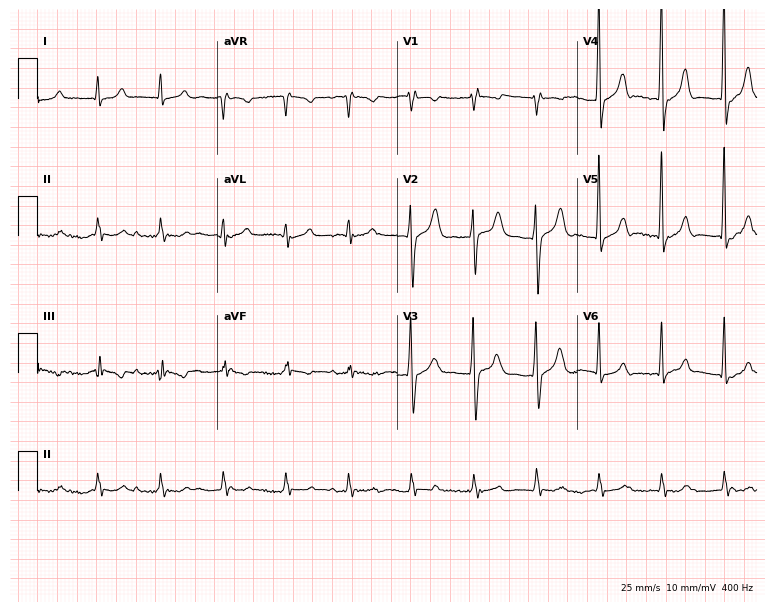
Standard 12-lead ECG recorded from a man, 36 years old. None of these six findings is recorded: first-degree AV block, right bundle branch block, left bundle branch block, sinus bradycardia, atrial fibrillation, sinus tachycardia. Findings outside these six are not listed.